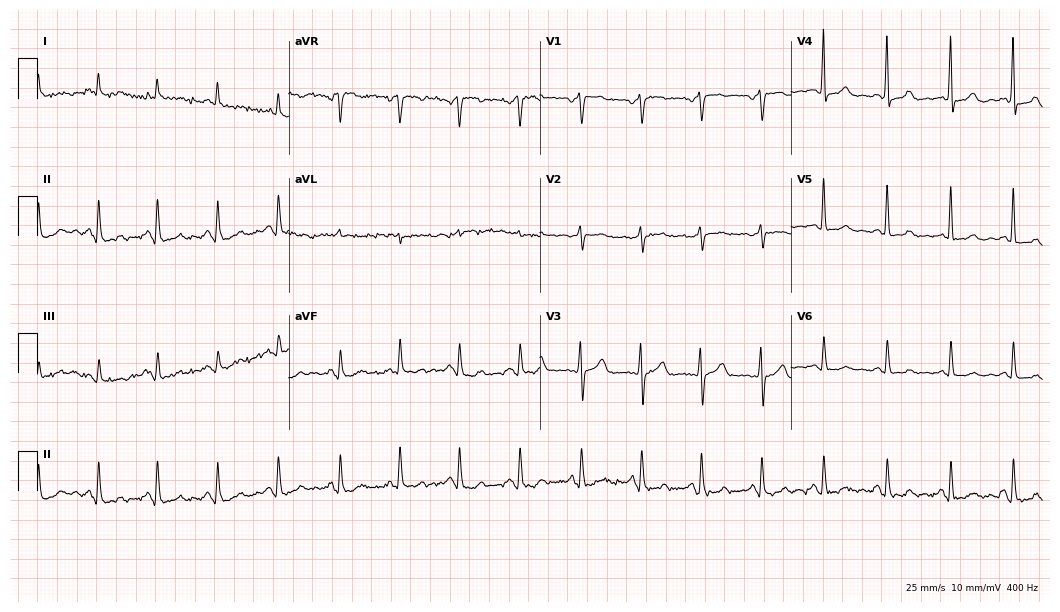
Electrocardiogram, a female, 73 years old. Of the six screened findings (first-degree AV block, right bundle branch block, left bundle branch block, sinus bradycardia, atrial fibrillation, sinus tachycardia), none is recorded.